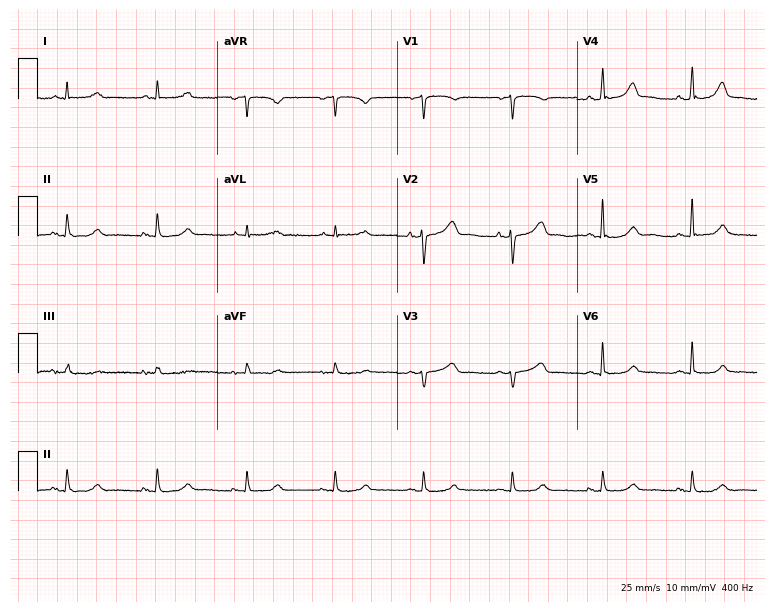
Standard 12-lead ECG recorded from a woman, 58 years old (7.3-second recording at 400 Hz). Read as a normal ECG.